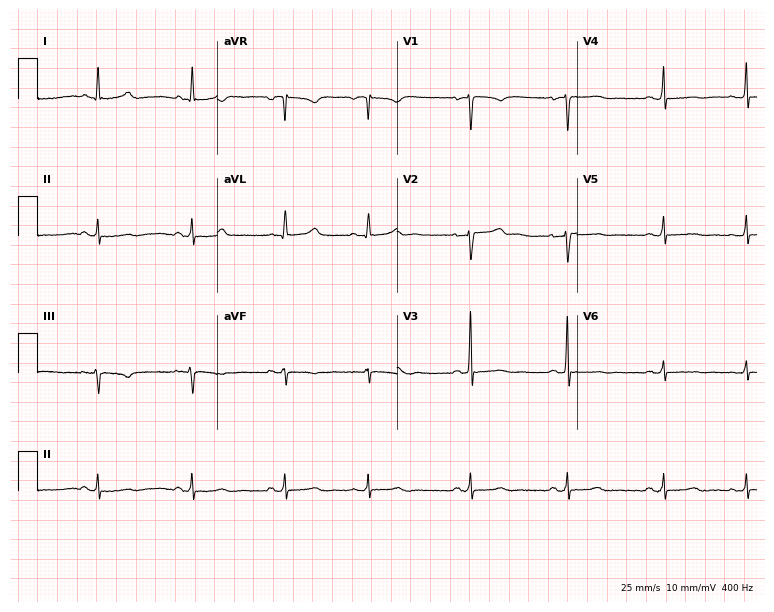
Resting 12-lead electrocardiogram (7.3-second recording at 400 Hz). Patient: a 47-year-old female. Read as a normal ECG.